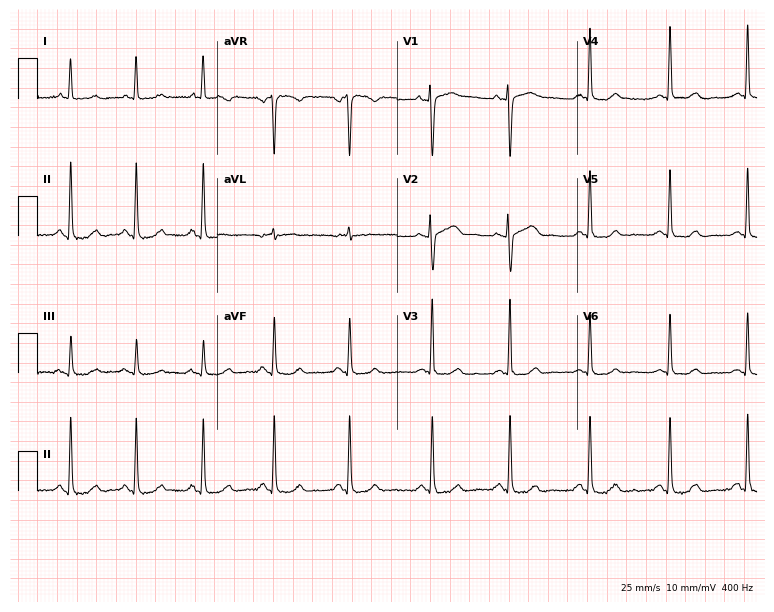
12-lead ECG from a female, 54 years old. Labelled as a normal ECG.